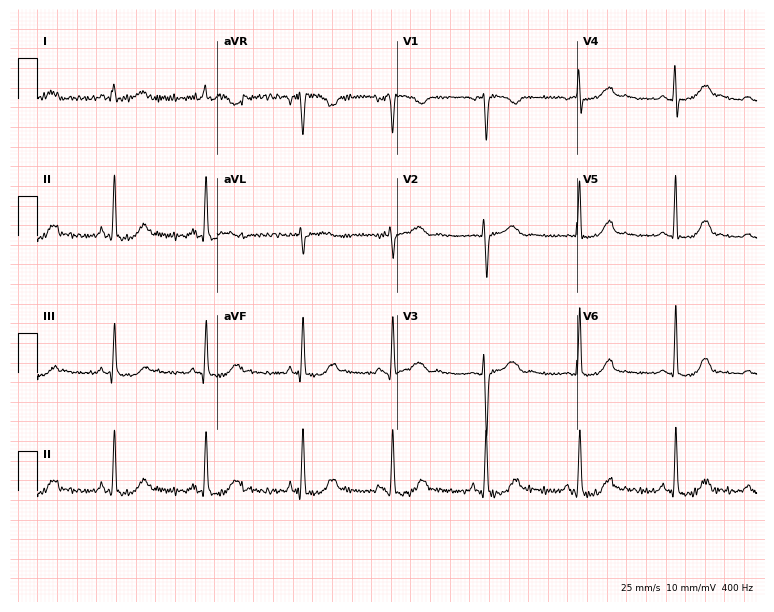
Electrocardiogram, a female patient, 26 years old. Overall reading on record: normal ECG.